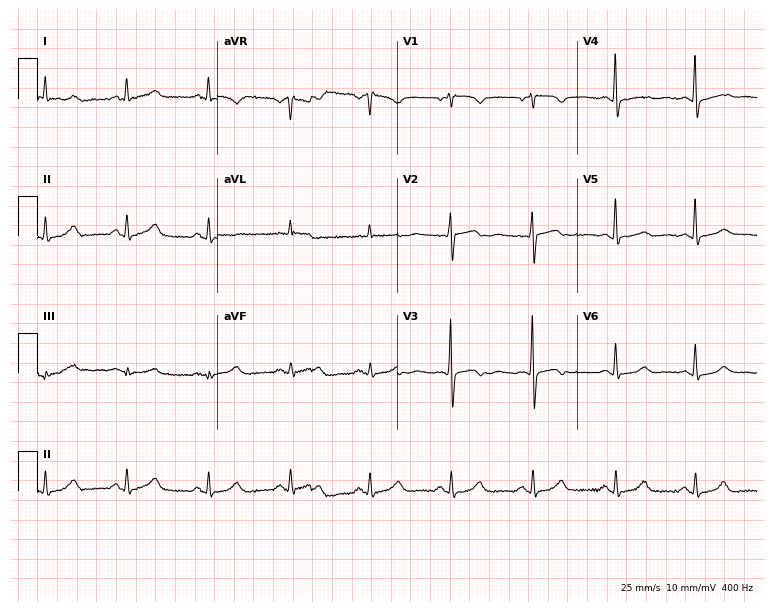
Electrocardiogram (7.3-second recording at 400 Hz), a female patient, 63 years old. Overall reading on record: normal ECG.